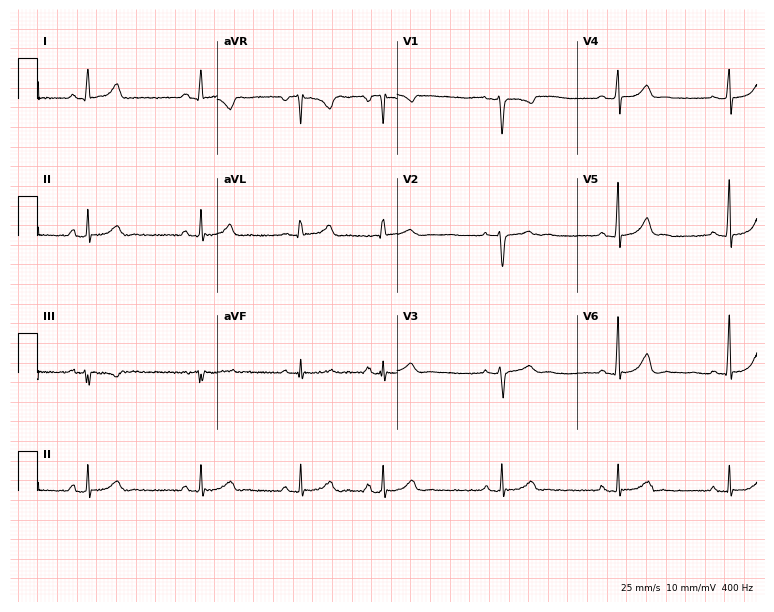
12-lead ECG (7.3-second recording at 400 Hz) from a woman, 30 years old. Labelled as a normal ECG.